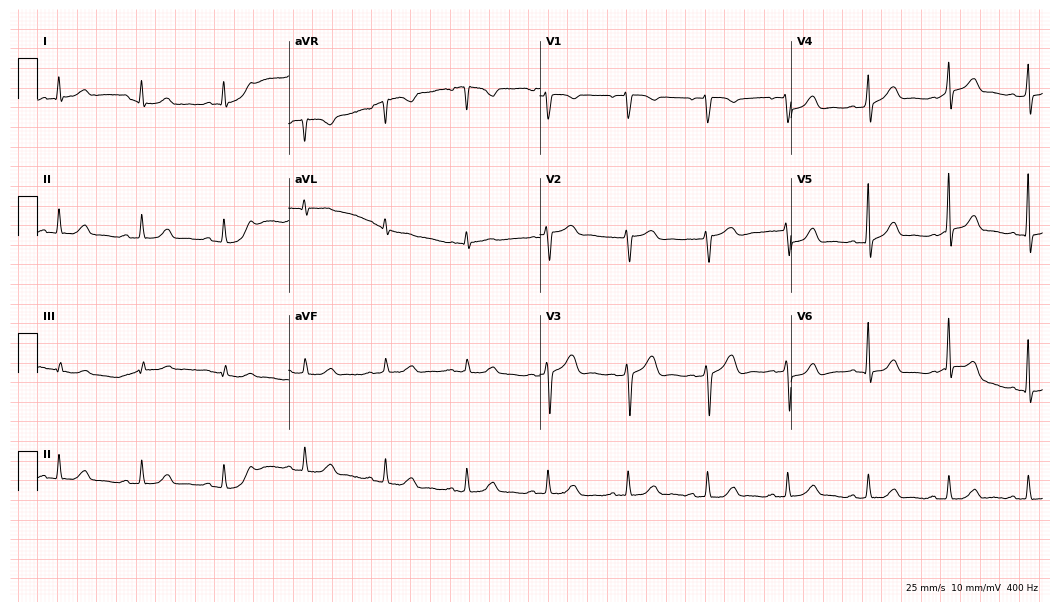
Electrocardiogram, a female patient, 52 years old. Overall reading on record: normal ECG.